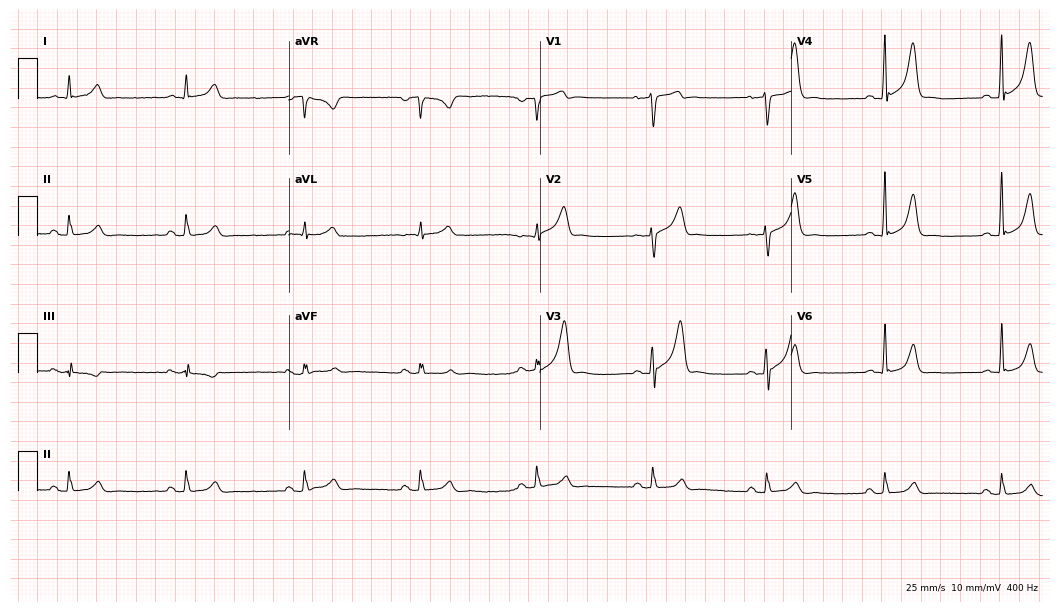
Electrocardiogram, a male, 55 years old. Overall reading on record: normal ECG.